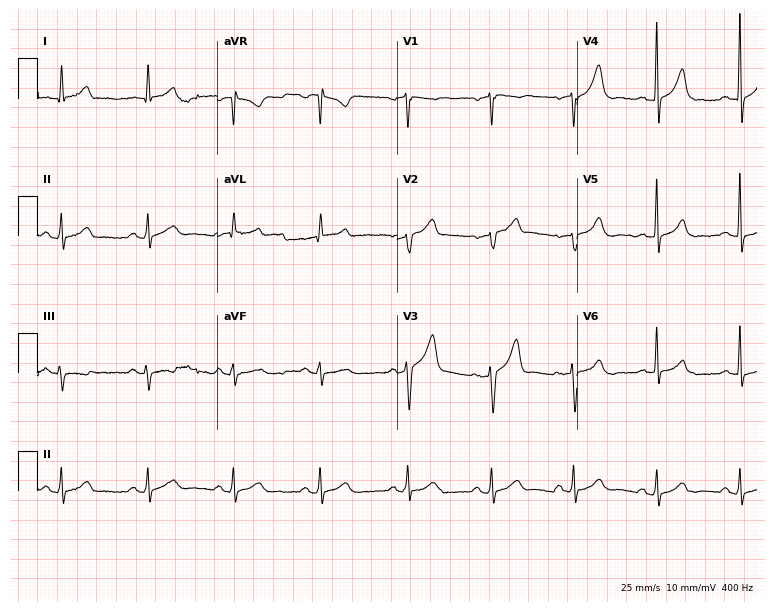
12-lead ECG (7.3-second recording at 400 Hz) from a 54-year-old male patient. Screened for six findings — first-degree AV block, right bundle branch block, left bundle branch block, sinus bradycardia, atrial fibrillation, sinus tachycardia — none is recorded. Only these six findings were labelled.